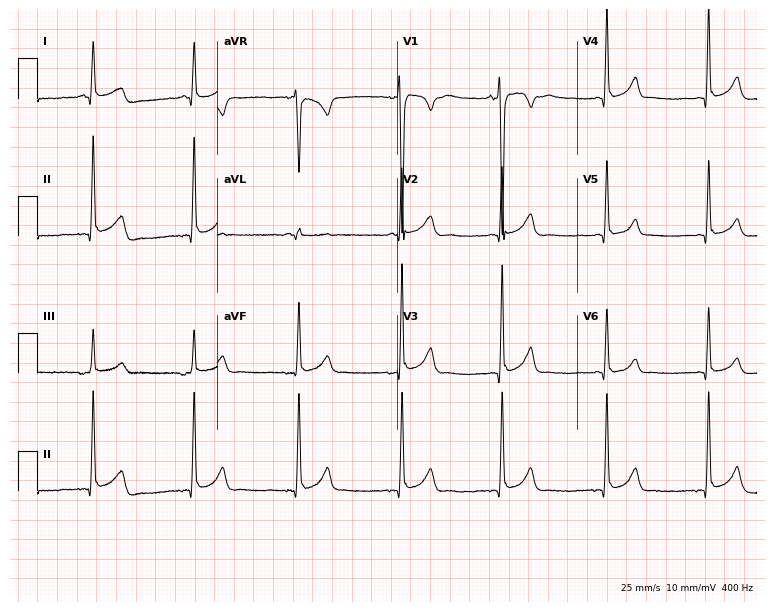
Resting 12-lead electrocardiogram. Patient: a male, 28 years old. Read as a normal ECG.